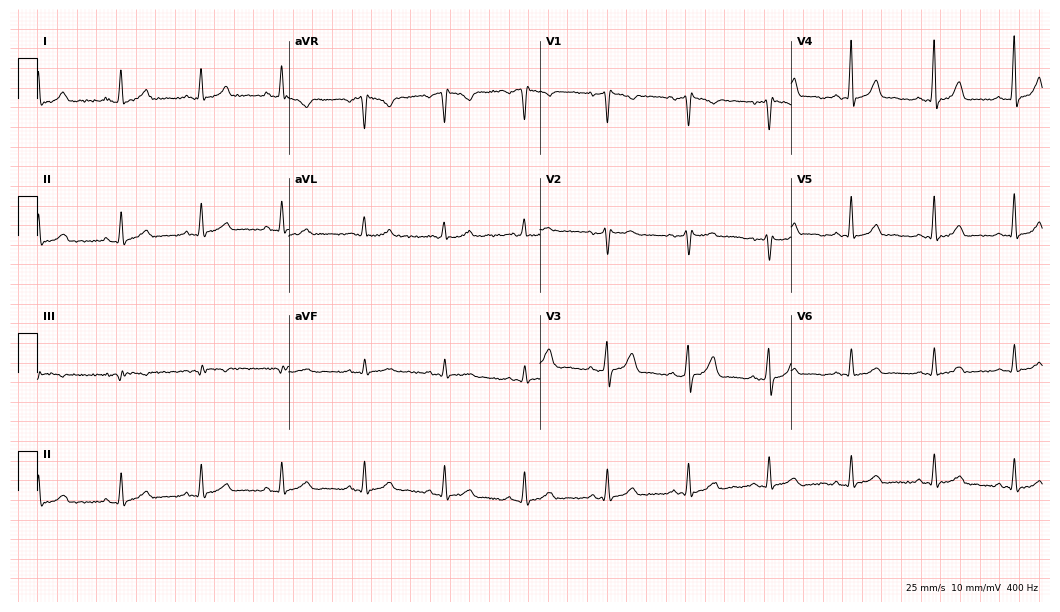
ECG — a woman, 36 years old. Labelled as a normal ECG.